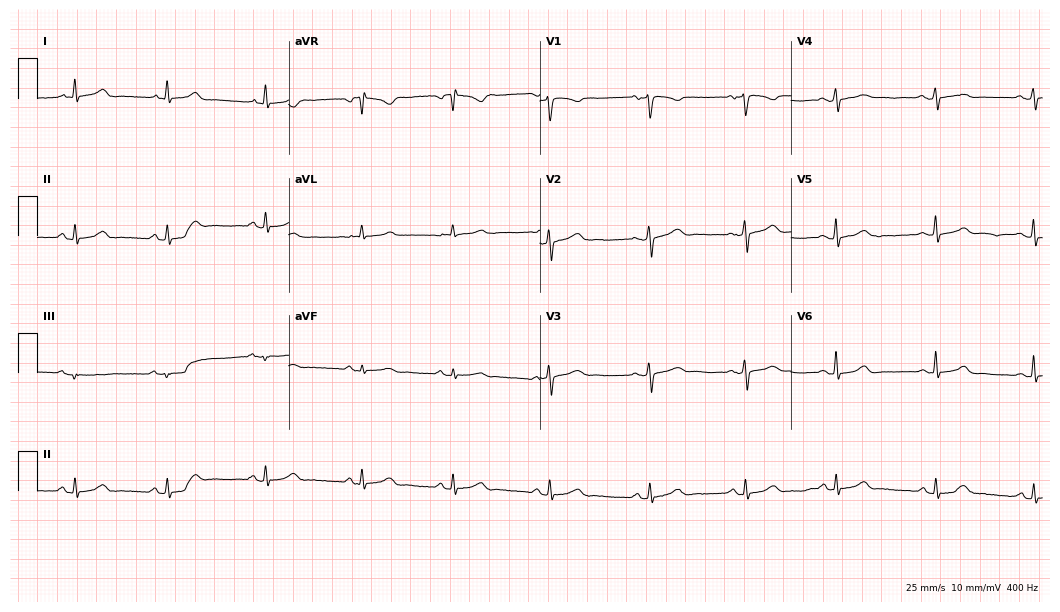
ECG (10.2-second recording at 400 Hz) — a female patient, 41 years old. Labelled as a normal ECG.